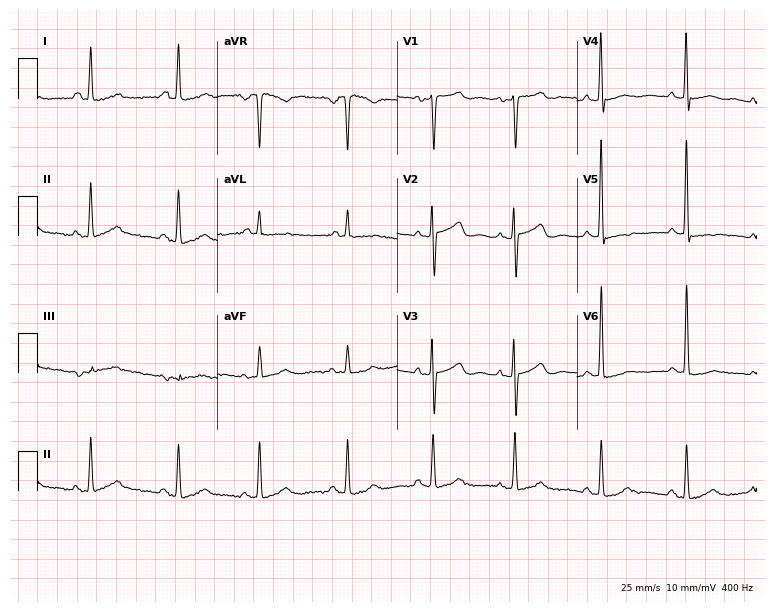
ECG — a female, 71 years old. Screened for six findings — first-degree AV block, right bundle branch block, left bundle branch block, sinus bradycardia, atrial fibrillation, sinus tachycardia — none is recorded. Other findings, if any, are not listed.